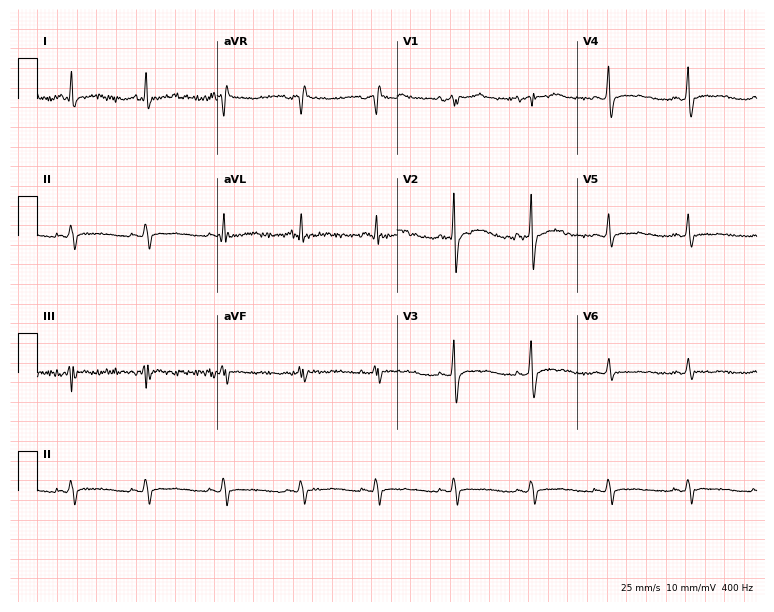
Electrocardiogram, a male, 34 years old. Of the six screened findings (first-degree AV block, right bundle branch block, left bundle branch block, sinus bradycardia, atrial fibrillation, sinus tachycardia), none is recorded. Findings outside these six are not listed.